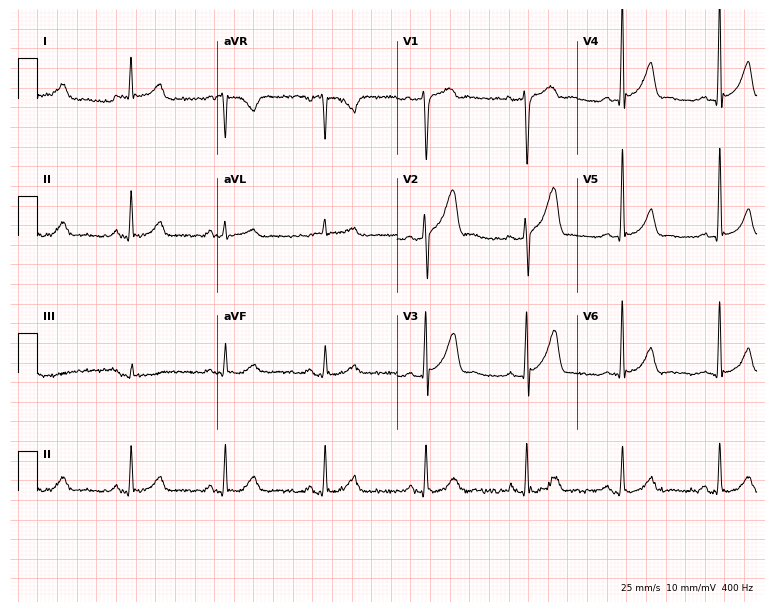
12-lead ECG from a man, 44 years old. Labelled as a normal ECG.